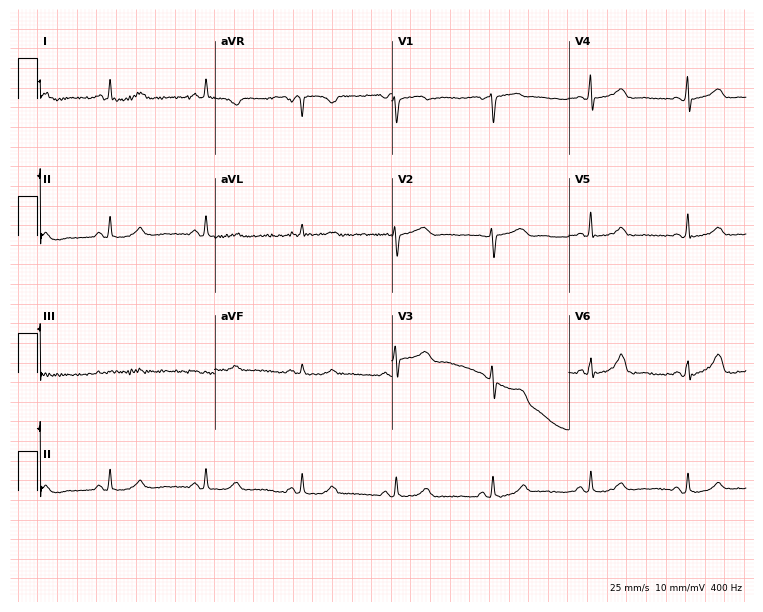
Standard 12-lead ECG recorded from a 62-year-old woman. Read as a normal ECG.